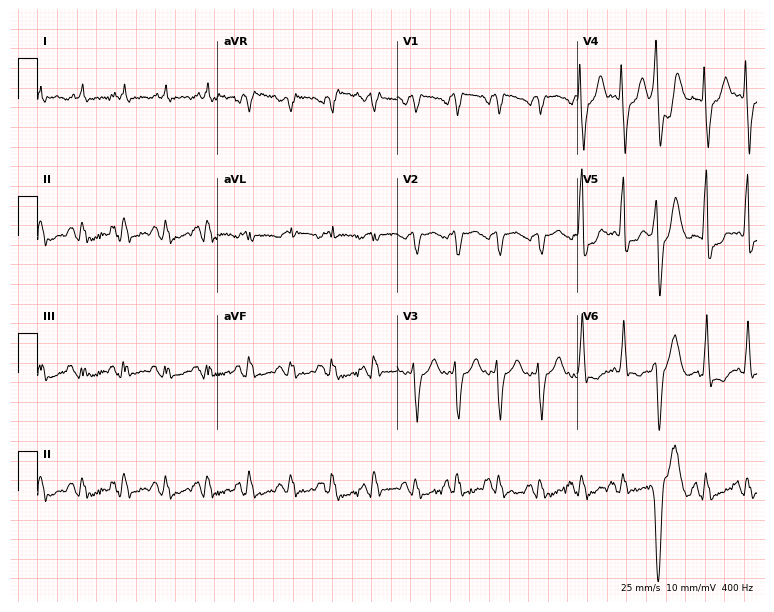
12-lead ECG from a 70-year-old male patient (7.3-second recording at 400 Hz). No first-degree AV block, right bundle branch block, left bundle branch block, sinus bradycardia, atrial fibrillation or sinus tachycardia recorded for this tracing. Only these six findings were labelled.